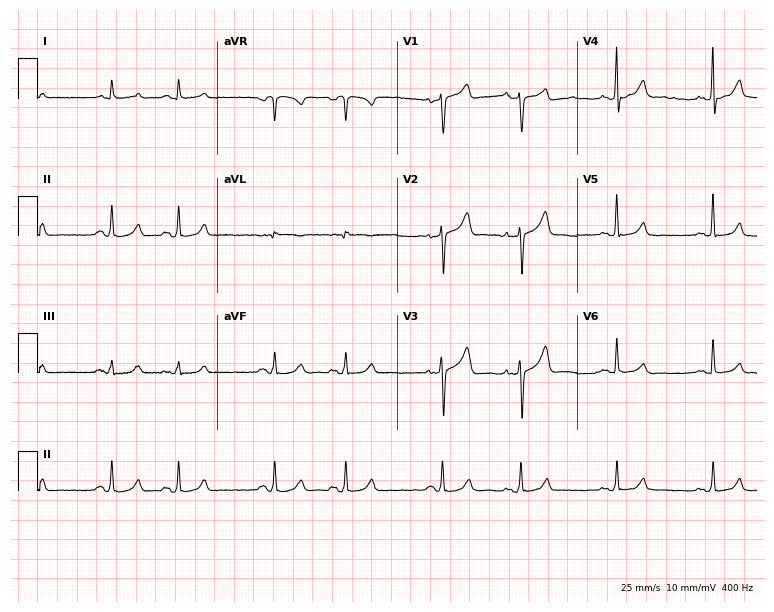
Standard 12-lead ECG recorded from a 75-year-old male patient (7.3-second recording at 400 Hz). Read as a normal ECG.